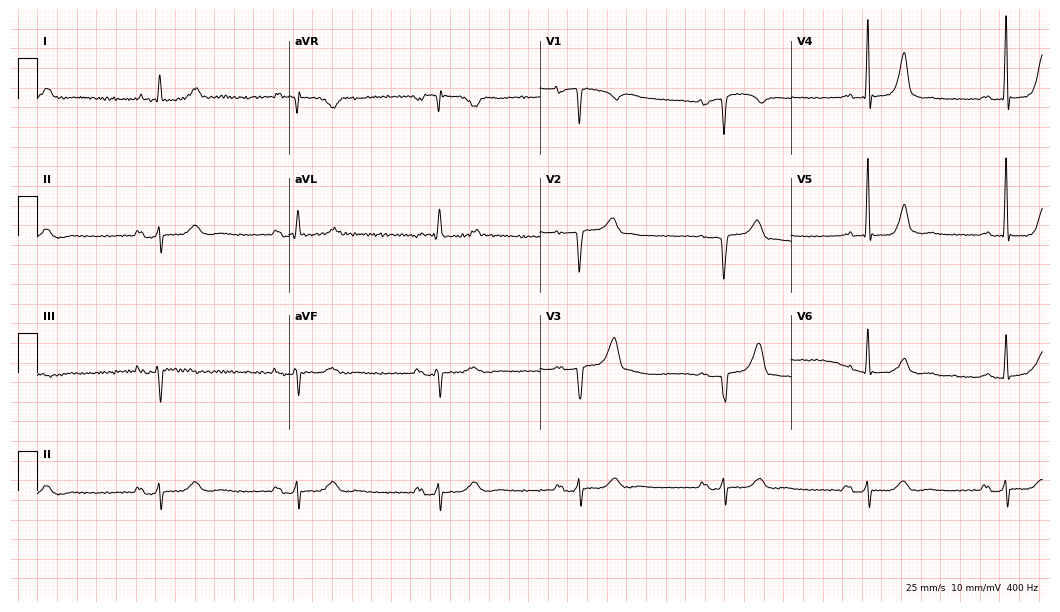
12-lead ECG from a male, 65 years old. No first-degree AV block, right bundle branch block, left bundle branch block, sinus bradycardia, atrial fibrillation or sinus tachycardia recorded for this tracing.